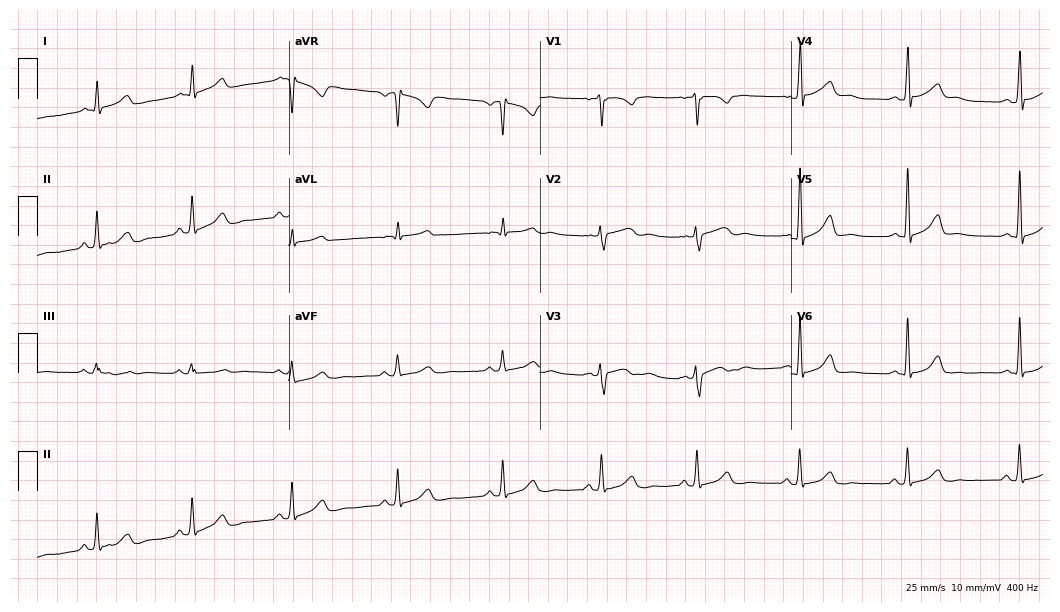
Resting 12-lead electrocardiogram. Patient: a 42-year-old female. Read as a normal ECG.